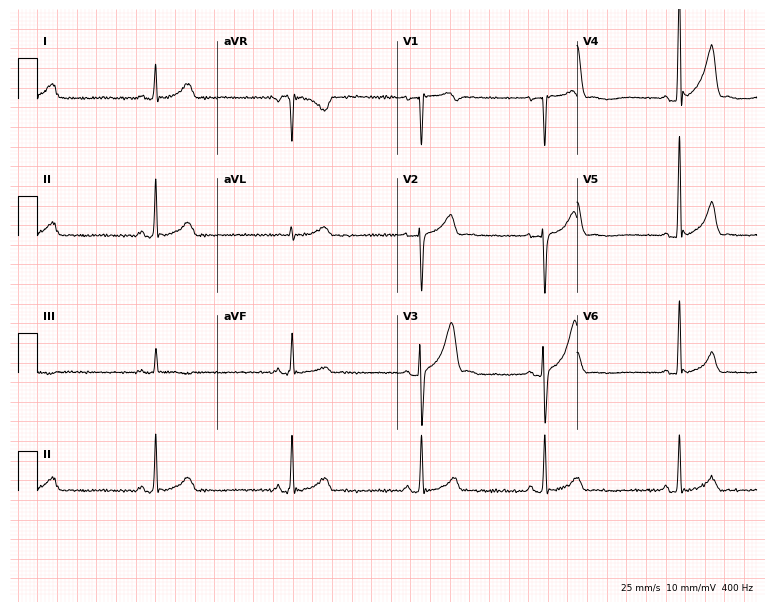
Standard 12-lead ECG recorded from a male patient, 39 years old (7.3-second recording at 400 Hz). The tracing shows sinus bradycardia (a sinus rate of 50 beats per minute or less).